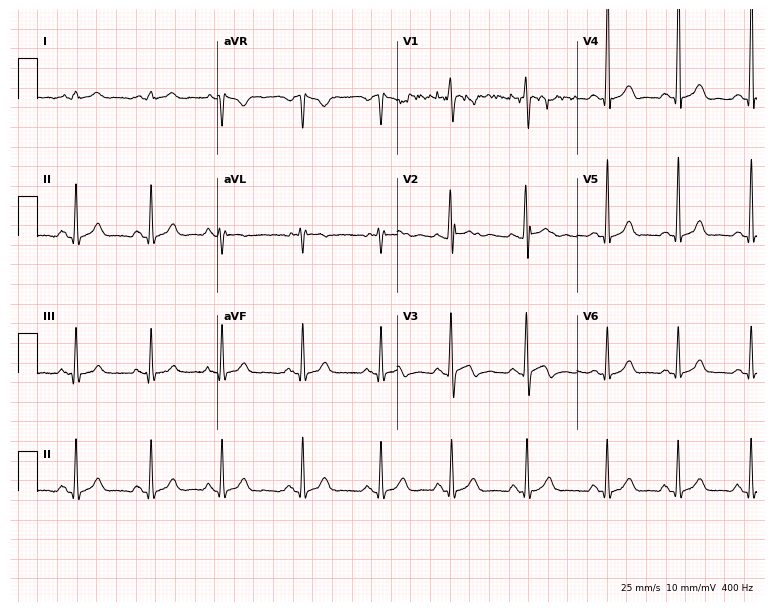
Resting 12-lead electrocardiogram (7.3-second recording at 400 Hz). Patient: a male, 17 years old. Read as a normal ECG.